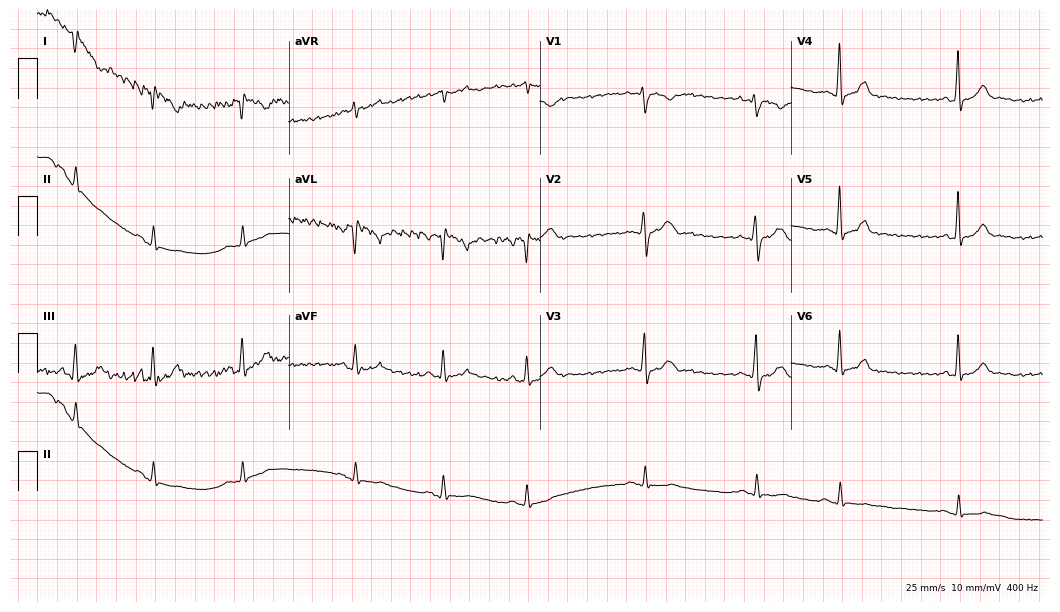
12-lead ECG from a 31-year-old woman. Screened for six findings — first-degree AV block, right bundle branch block, left bundle branch block, sinus bradycardia, atrial fibrillation, sinus tachycardia — none is recorded.